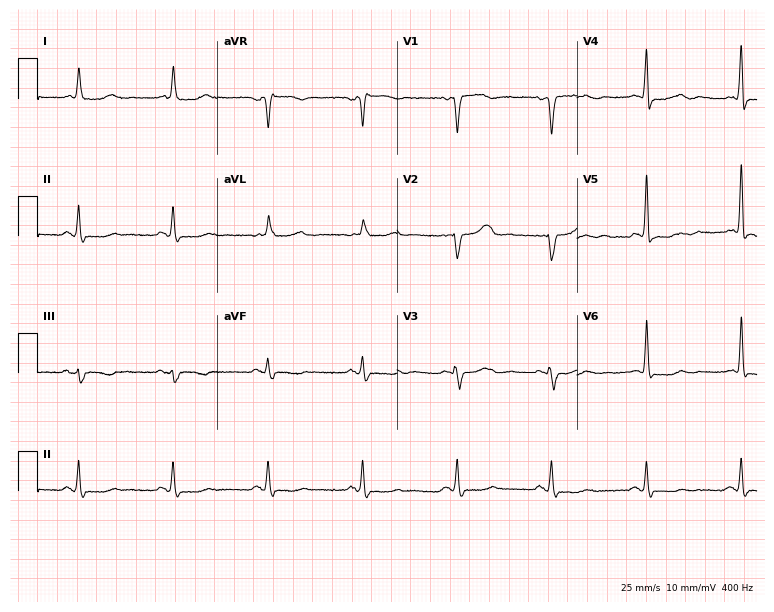
12-lead ECG from a 79-year-old female. No first-degree AV block, right bundle branch block, left bundle branch block, sinus bradycardia, atrial fibrillation or sinus tachycardia recorded for this tracing. Findings outside these six are not listed.